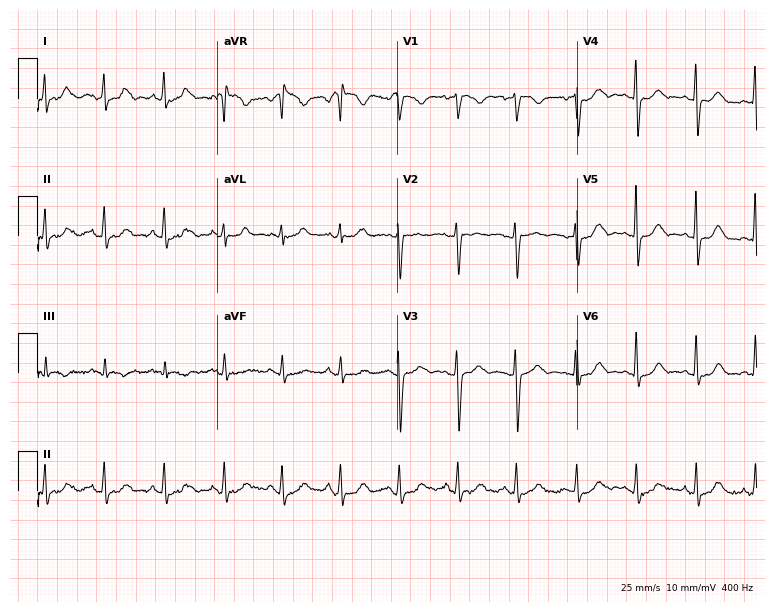
ECG (7.3-second recording at 400 Hz) — a 39-year-old female. Screened for six findings — first-degree AV block, right bundle branch block, left bundle branch block, sinus bradycardia, atrial fibrillation, sinus tachycardia — none is recorded. Findings outside these six are not listed.